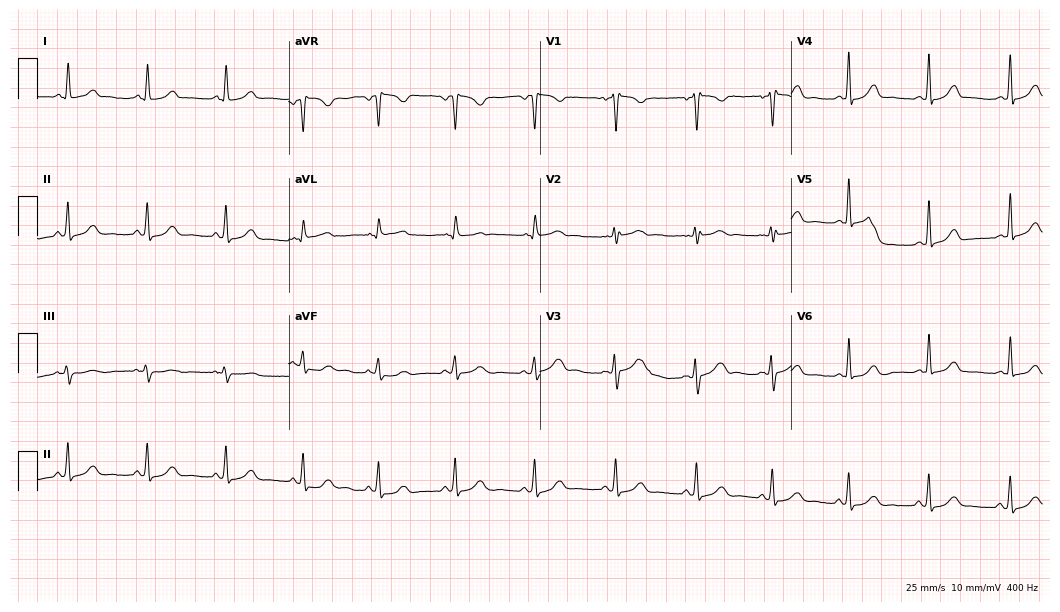
12-lead ECG from a 36-year-old female (10.2-second recording at 400 Hz). Recorded interpretation: within normal limits.